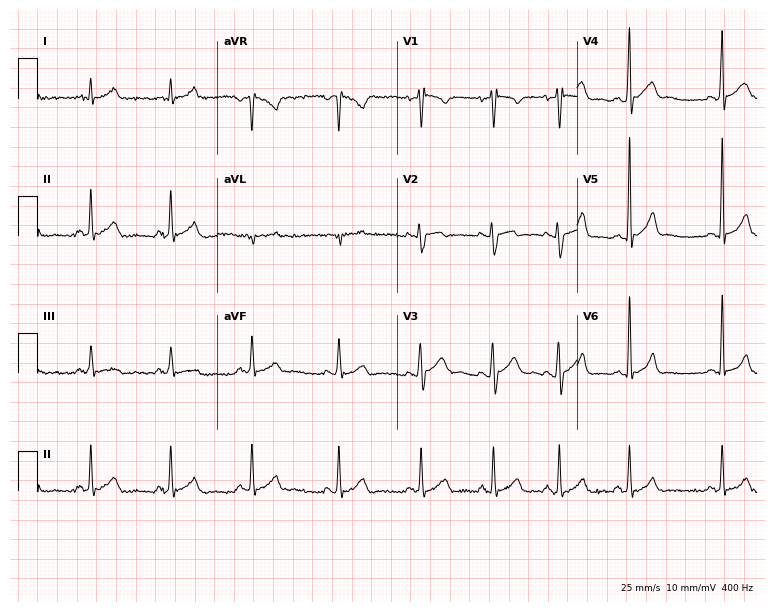
Standard 12-lead ECG recorded from a 19-year-old male. Read as a normal ECG.